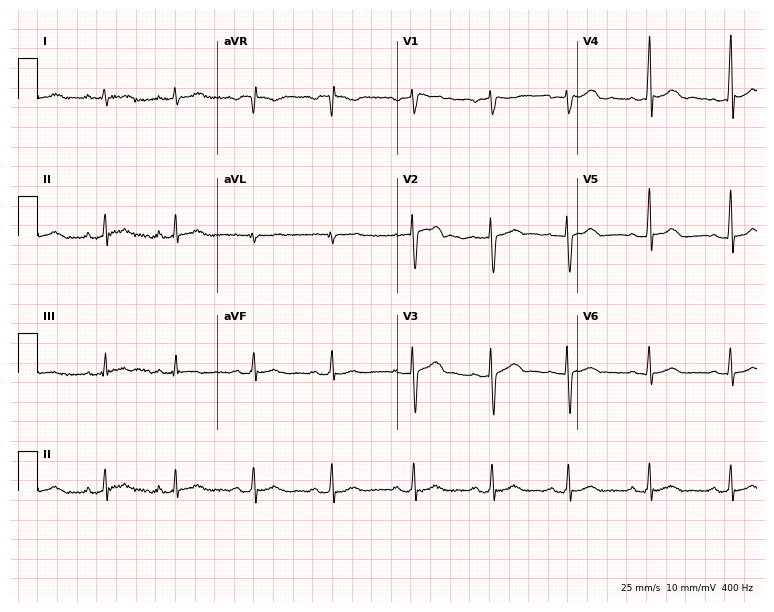
12-lead ECG from a 23-year-old woman. Recorded interpretation: within normal limits.